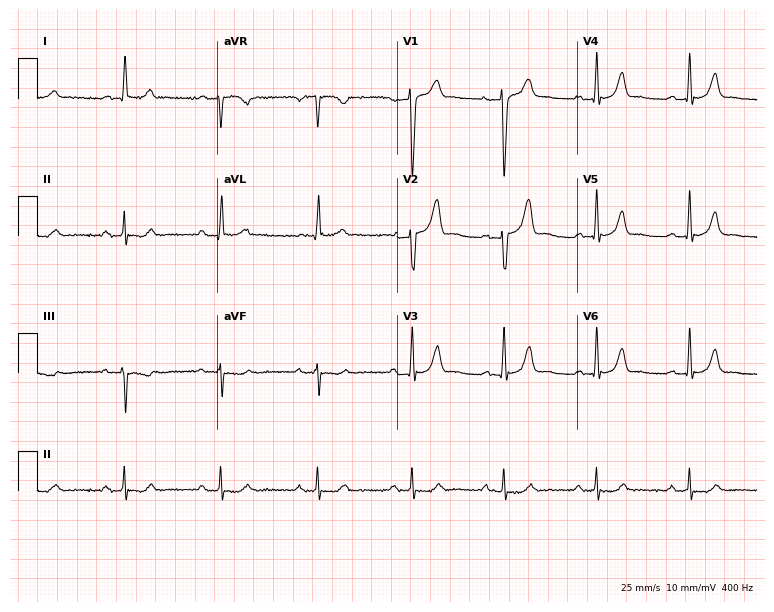
ECG (7.3-second recording at 400 Hz) — a 63-year-old man. Labelled as a normal ECG.